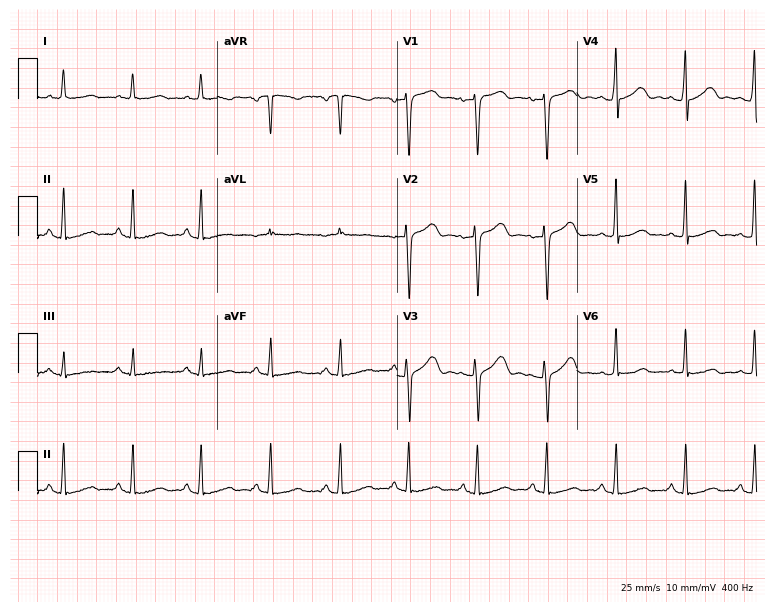
ECG (7.3-second recording at 400 Hz) — a female, 48 years old. Screened for six findings — first-degree AV block, right bundle branch block (RBBB), left bundle branch block (LBBB), sinus bradycardia, atrial fibrillation (AF), sinus tachycardia — none is recorded.